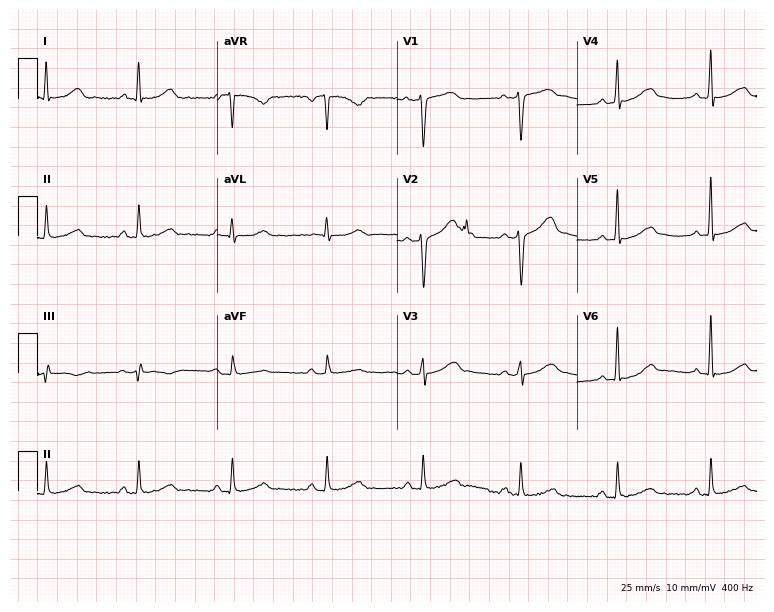
Standard 12-lead ECG recorded from a male, 57 years old (7.3-second recording at 400 Hz). None of these six findings is recorded: first-degree AV block, right bundle branch block, left bundle branch block, sinus bradycardia, atrial fibrillation, sinus tachycardia. Other findings, if any, are not listed.